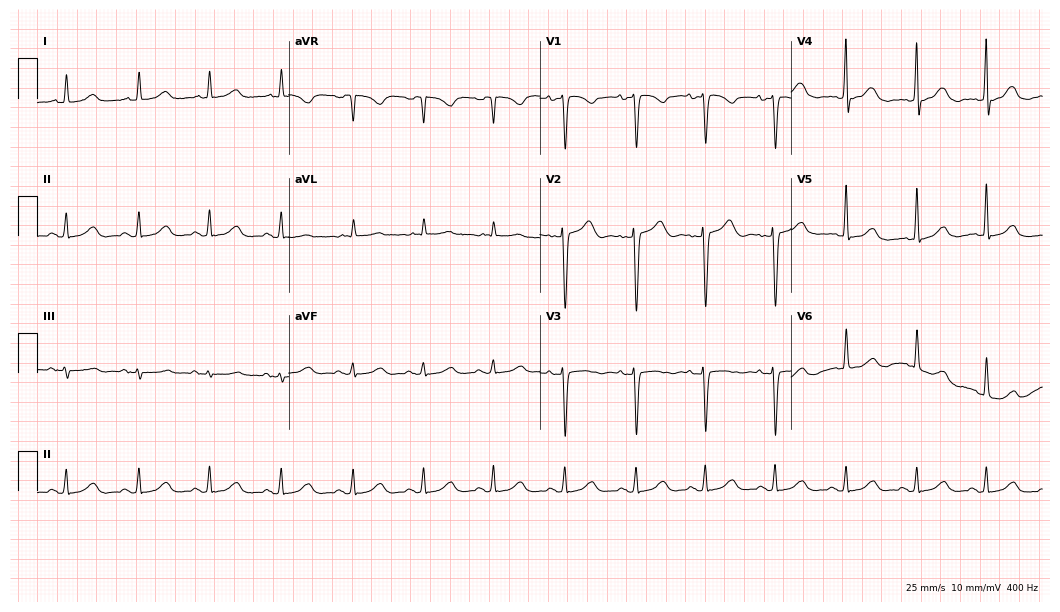
Electrocardiogram, a 77-year-old female patient. Overall reading on record: normal ECG.